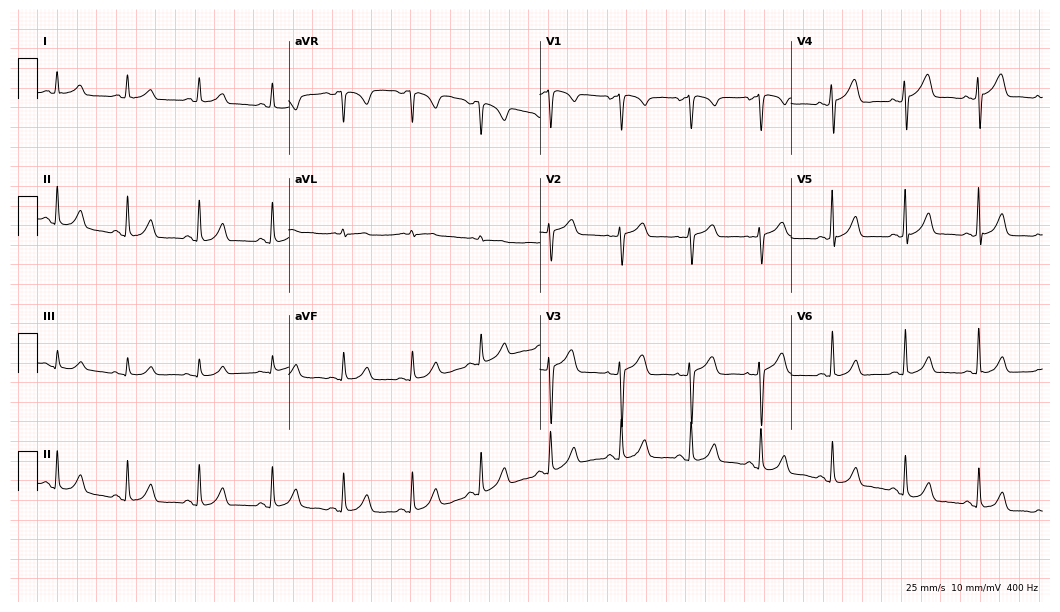
12-lead ECG from a 45-year-old female patient. Labelled as a normal ECG.